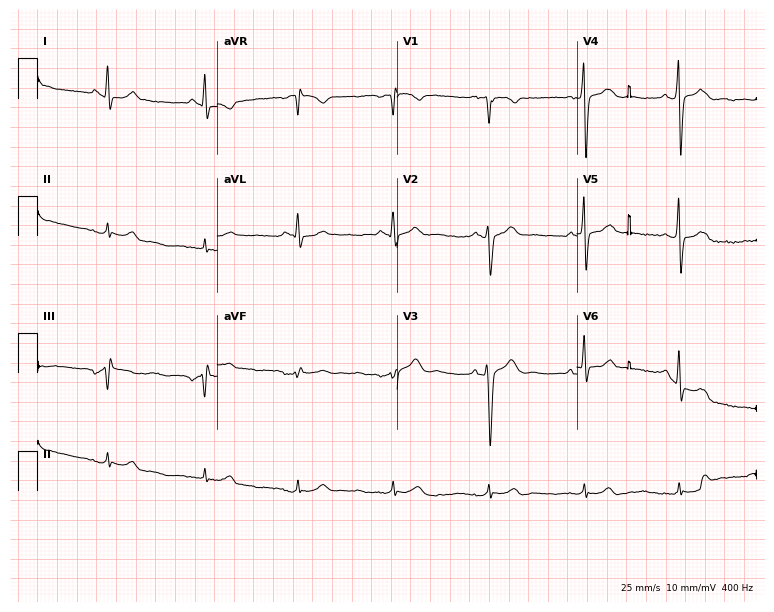
12-lead ECG from a 49-year-old man. No first-degree AV block, right bundle branch block (RBBB), left bundle branch block (LBBB), sinus bradycardia, atrial fibrillation (AF) or sinus tachycardia recorded for this tracing. Findings outside these six are not listed.